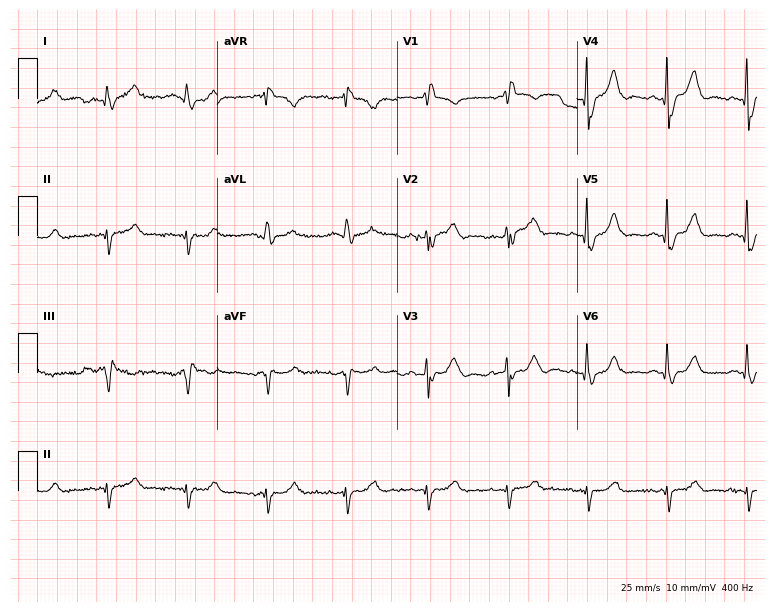
12-lead ECG (7.3-second recording at 400 Hz) from a male patient, 81 years old. Findings include right bundle branch block.